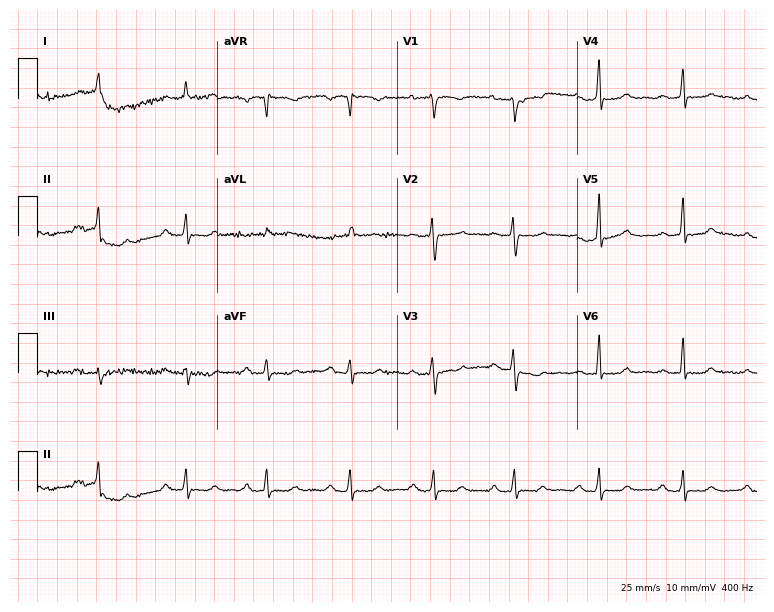
Standard 12-lead ECG recorded from a 29-year-old female (7.3-second recording at 400 Hz). The tracing shows first-degree AV block.